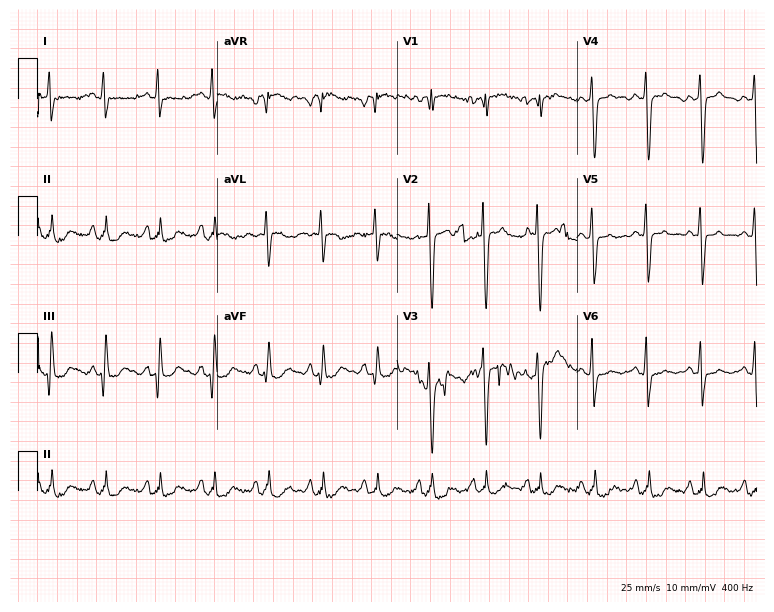
ECG — a 66-year-old woman. Findings include sinus tachycardia (a sinus rate of 100 beats per minute or more).